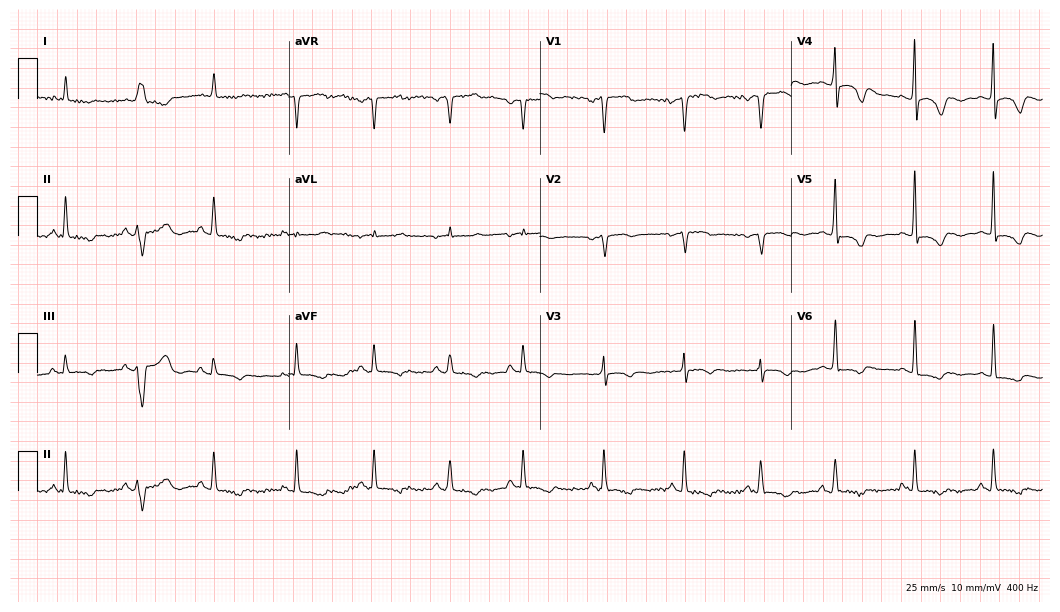
Standard 12-lead ECG recorded from an 83-year-old female (10.2-second recording at 400 Hz). None of these six findings is recorded: first-degree AV block, right bundle branch block (RBBB), left bundle branch block (LBBB), sinus bradycardia, atrial fibrillation (AF), sinus tachycardia. Only these six findings were labelled.